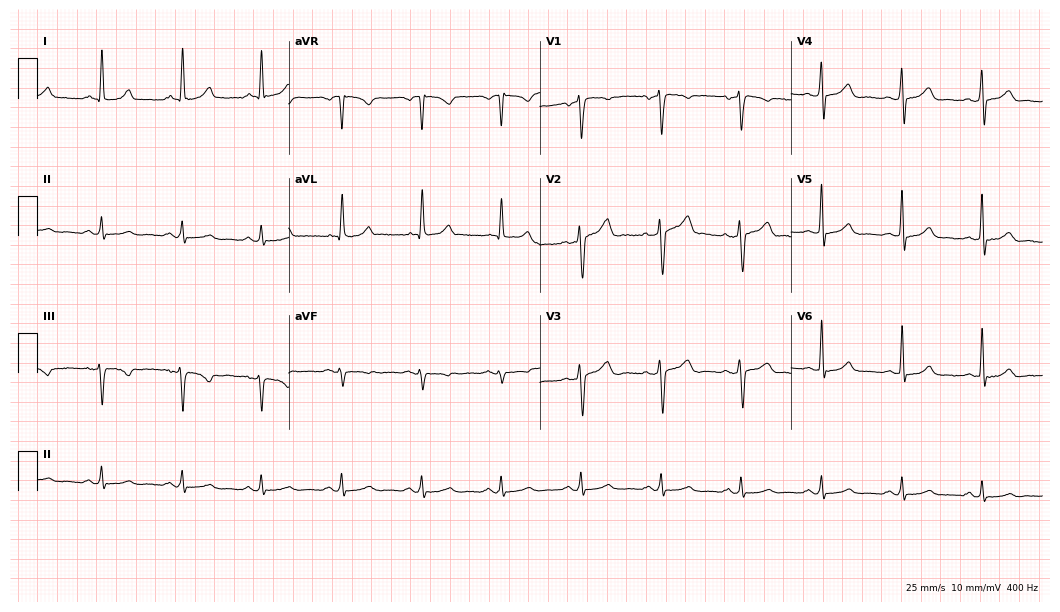
Standard 12-lead ECG recorded from a man, 53 years old (10.2-second recording at 400 Hz). Read as a normal ECG.